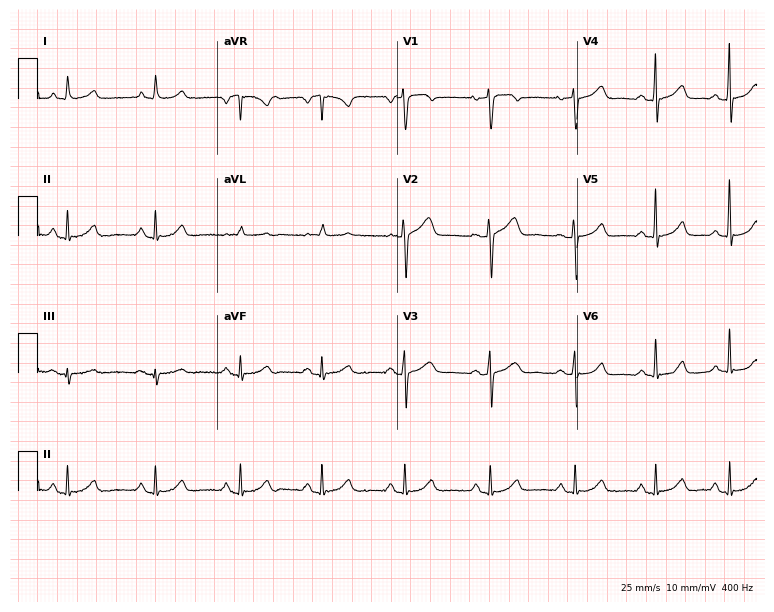
Standard 12-lead ECG recorded from a 60-year-old female patient. None of these six findings is recorded: first-degree AV block, right bundle branch block, left bundle branch block, sinus bradycardia, atrial fibrillation, sinus tachycardia. Other findings, if any, are not listed.